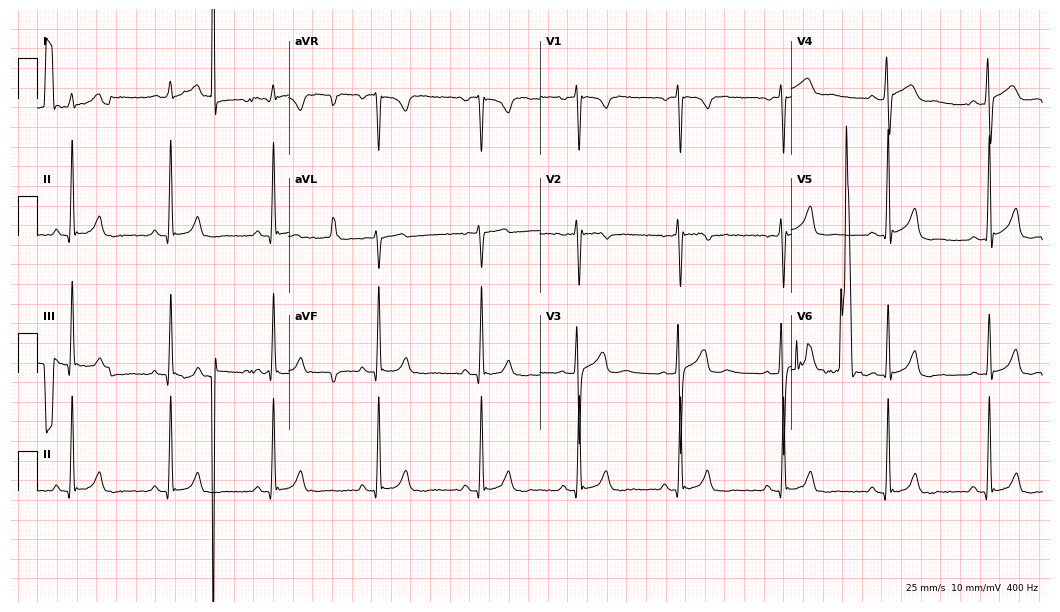
12-lead ECG from a 26-year-old man. Labelled as a normal ECG.